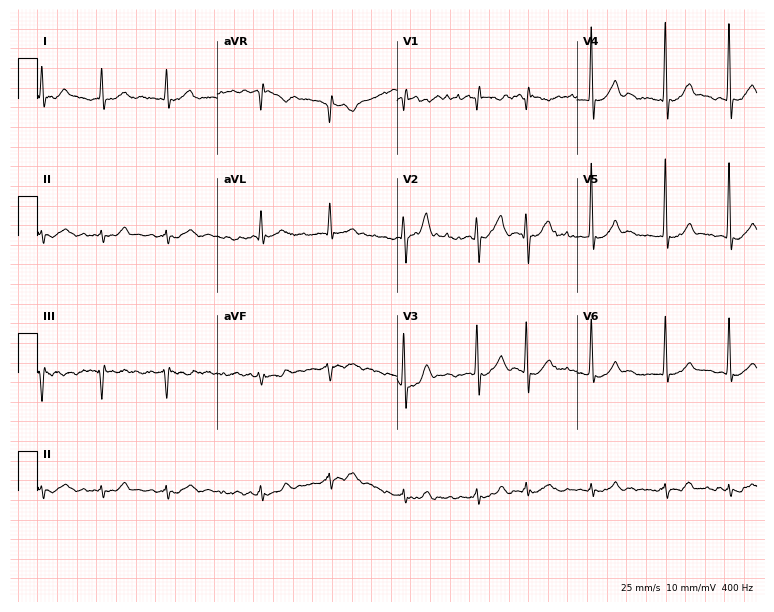
Standard 12-lead ECG recorded from a man, 73 years old (7.3-second recording at 400 Hz). The tracing shows atrial fibrillation.